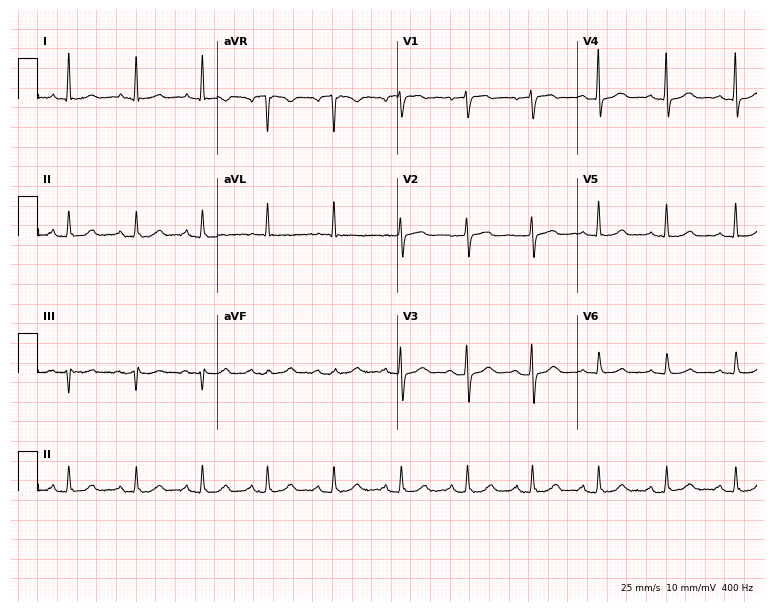
Standard 12-lead ECG recorded from a woman, 66 years old. None of these six findings is recorded: first-degree AV block, right bundle branch block (RBBB), left bundle branch block (LBBB), sinus bradycardia, atrial fibrillation (AF), sinus tachycardia.